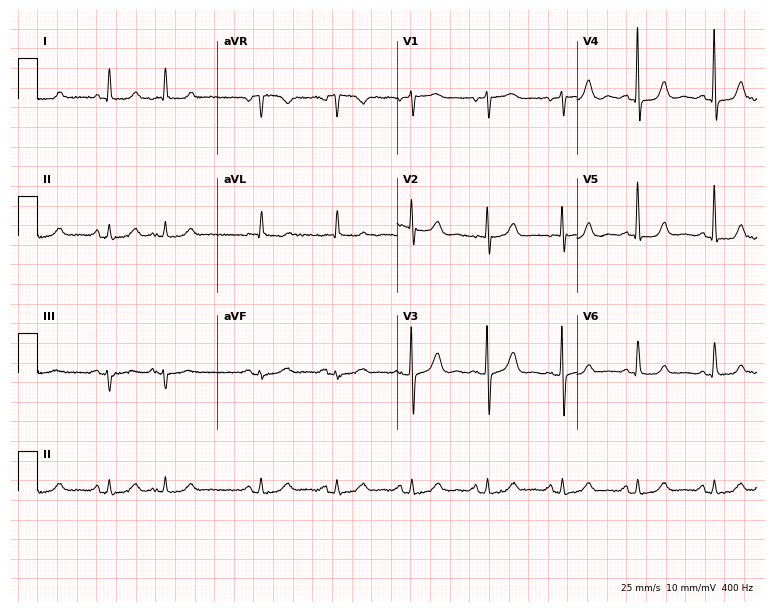
Resting 12-lead electrocardiogram (7.3-second recording at 400 Hz). Patient: a female, 81 years old. None of these six findings is recorded: first-degree AV block, right bundle branch block, left bundle branch block, sinus bradycardia, atrial fibrillation, sinus tachycardia. Other findings, if any, are not listed.